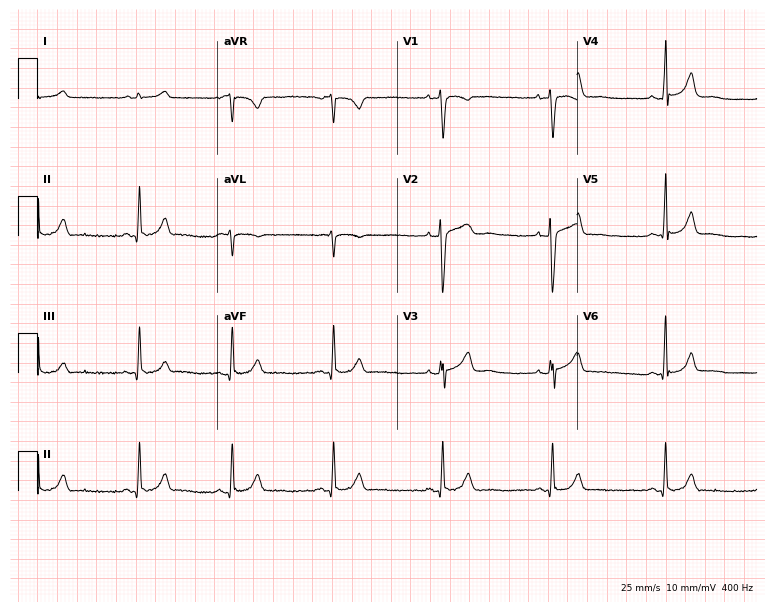
12-lead ECG from a woman, 28 years old (7.3-second recording at 400 Hz). Recorded interpretation: within normal limits.